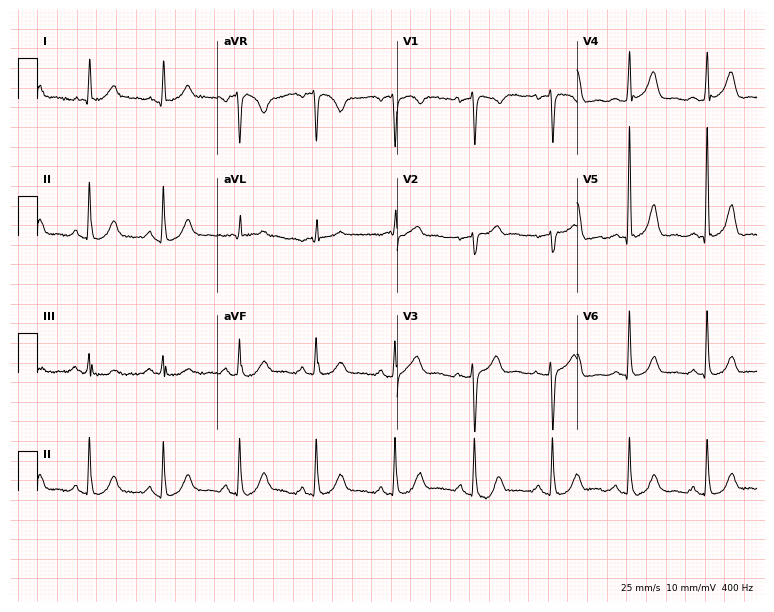
12-lead ECG from a 76-year-old female (7.3-second recording at 400 Hz). Recorded interpretation: within normal limits.